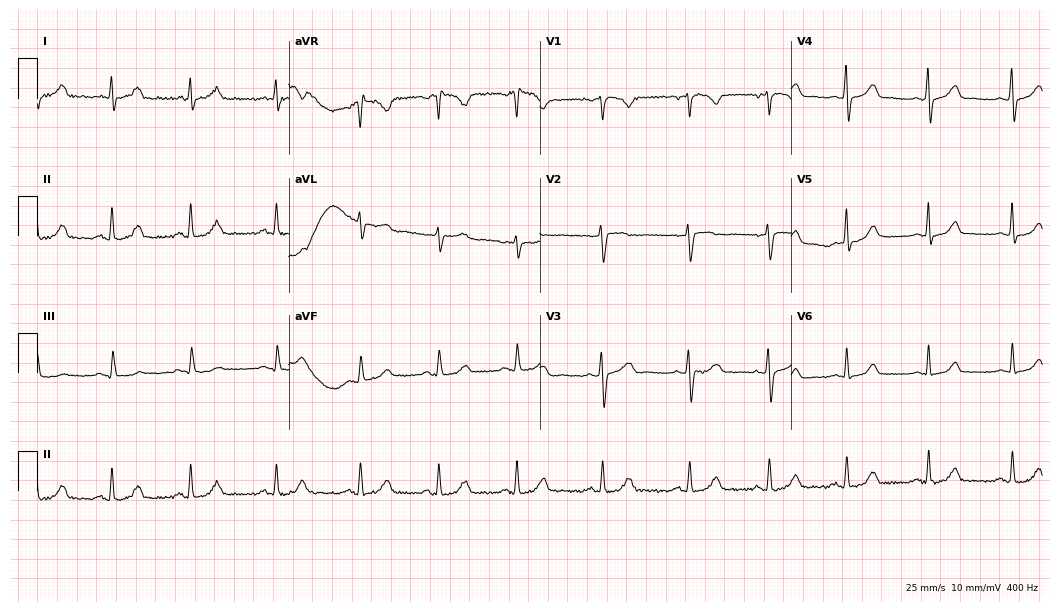
Resting 12-lead electrocardiogram (10.2-second recording at 400 Hz). Patient: a female, 29 years old. None of these six findings is recorded: first-degree AV block, right bundle branch block (RBBB), left bundle branch block (LBBB), sinus bradycardia, atrial fibrillation (AF), sinus tachycardia. Findings outside these six are not listed.